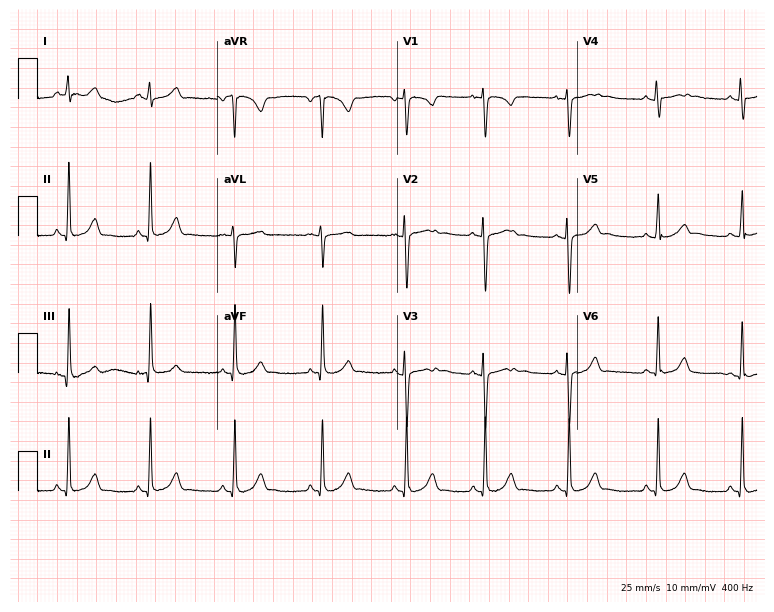
ECG — a female, 17 years old. Labelled as a normal ECG.